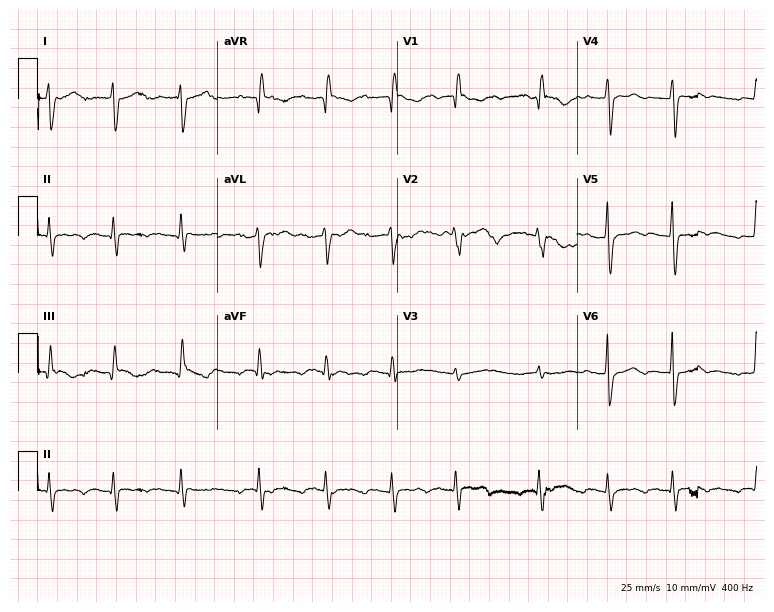
12-lead ECG from a 46-year-old female. Screened for six findings — first-degree AV block, right bundle branch block, left bundle branch block, sinus bradycardia, atrial fibrillation, sinus tachycardia — none is recorded. Other findings, if any, are not listed.